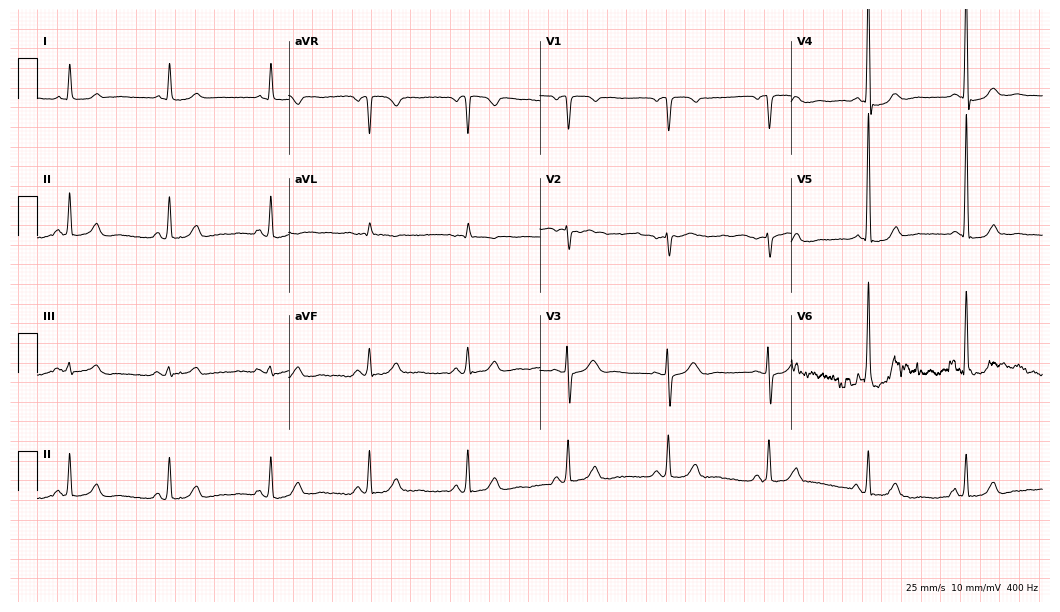
ECG (10.2-second recording at 400 Hz) — a female, 73 years old. Screened for six findings — first-degree AV block, right bundle branch block, left bundle branch block, sinus bradycardia, atrial fibrillation, sinus tachycardia — none is recorded. Other findings, if any, are not listed.